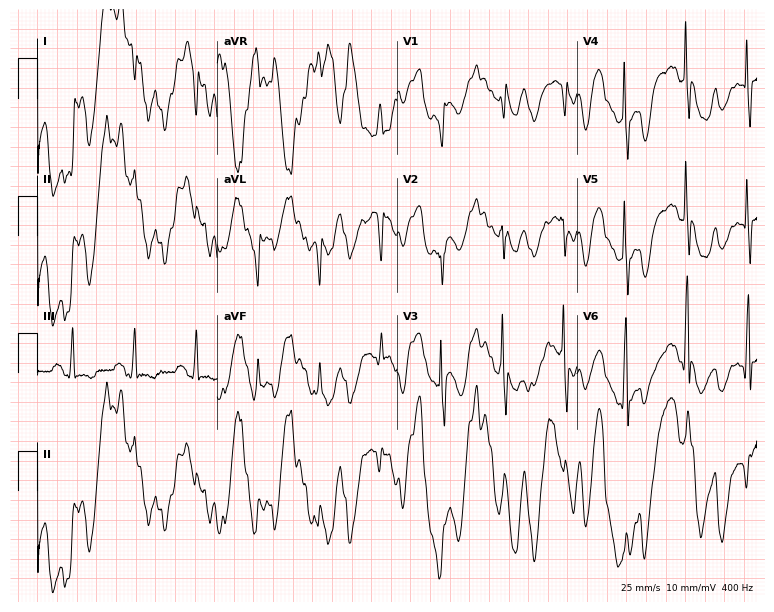
12-lead ECG from a 77-year-old female patient (7.3-second recording at 400 Hz). No first-degree AV block, right bundle branch block, left bundle branch block, sinus bradycardia, atrial fibrillation or sinus tachycardia recorded for this tracing.